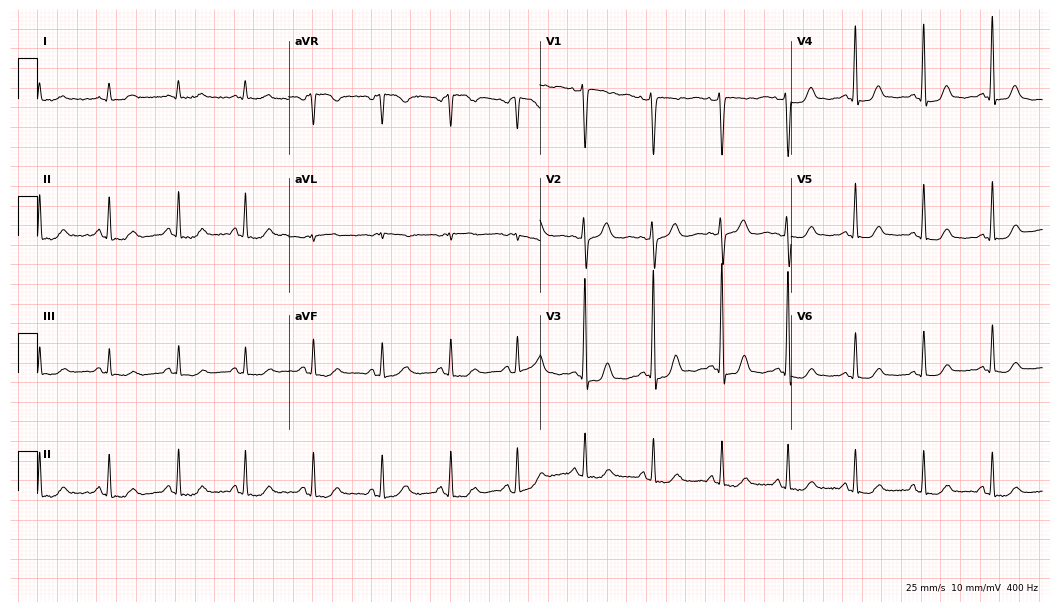
12-lead ECG (10.2-second recording at 400 Hz) from a female, 83 years old. Screened for six findings — first-degree AV block, right bundle branch block (RBBB), left bundle branch block (LBBB), sinus bradycardia, atrial fibrillation (AF), sinus tachycardia — none is recorded. Only these six findings were labelled.